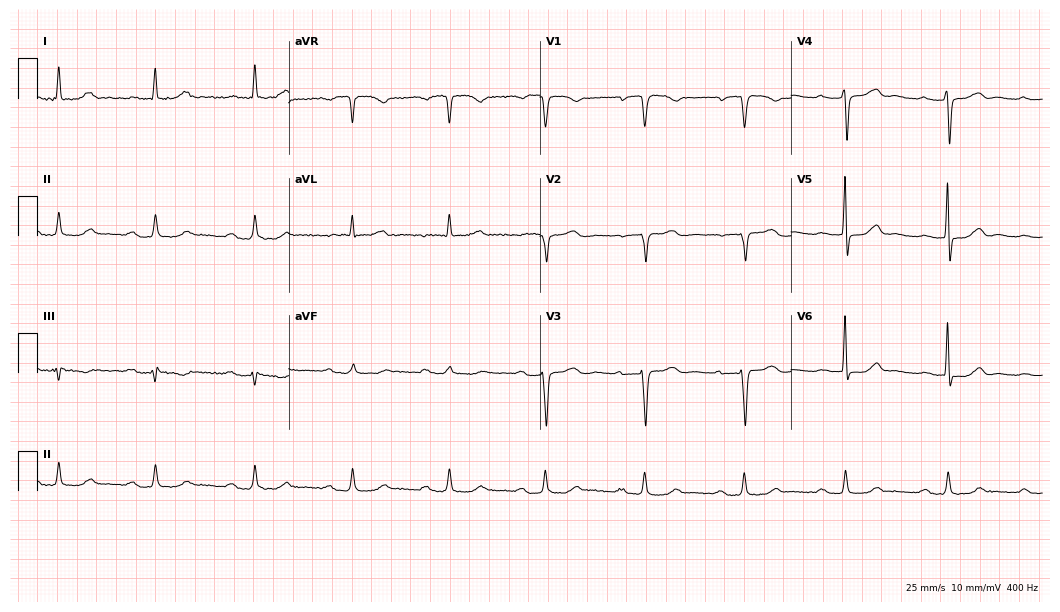
12-lead ECG from an 80-year-old female. Recorded interpretation: within normal limits.